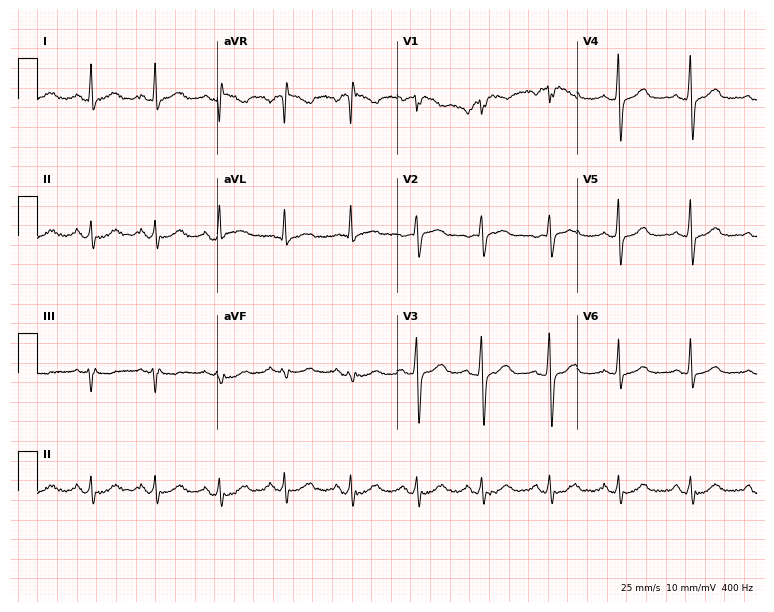
12-lead ECG from a 62-year-old female. No first-degree AV block, right bundle branch block (RBBB), left bundle branch block (LBBB), sinus bradycardia, atrial fibrillation (AF) or sinus tachycardia recorded for this tracing. Only these six findings were labelled.